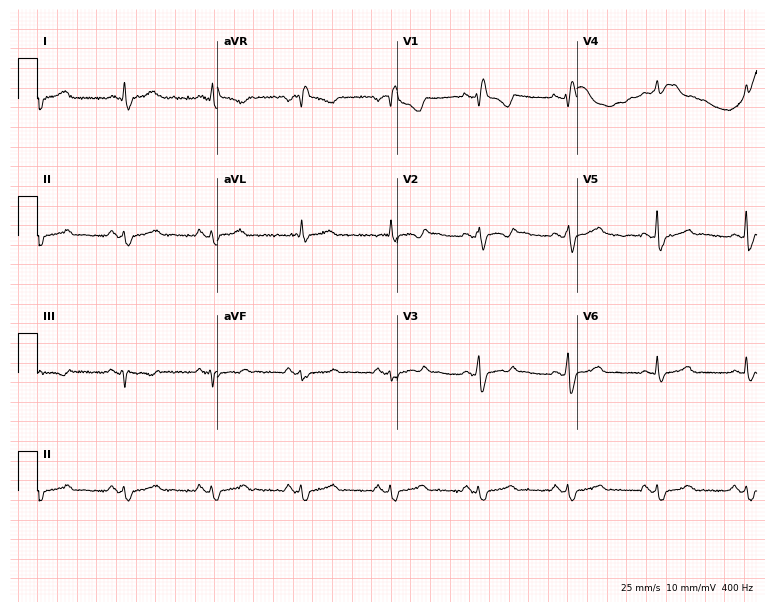
Electrocardiogram (7.3-second recording at 400 Hz), a 45-year-old woman. Interpretation includes right bundle branch block (RBBB).